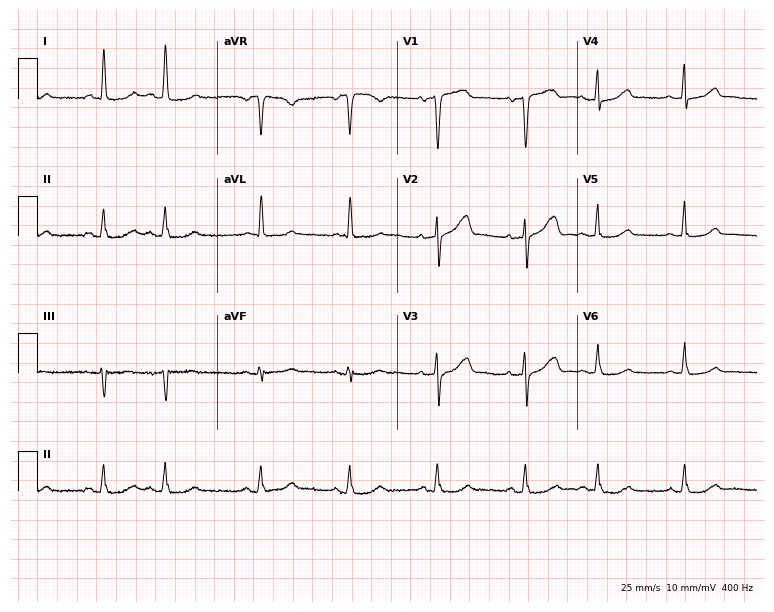
12-lead ECG from a female patient, 79 years old. Screened for six findings — first-degree AV block, right bundle branch block, left bundle branch block, sinus bradycardia, atrial fibrillation, sinus tachycardia — none is recorded.